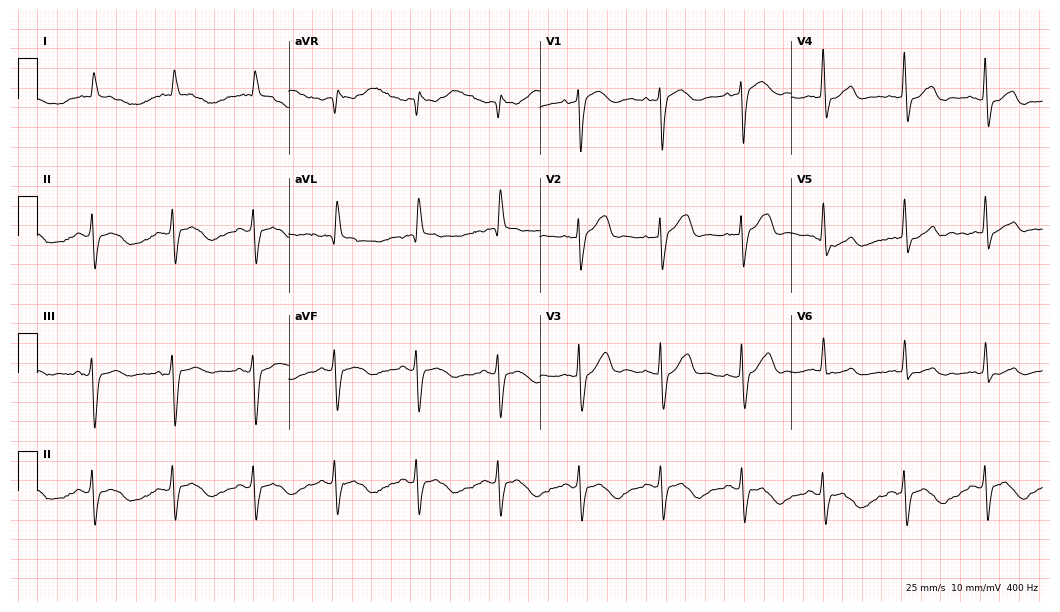
12-lead ECG from an 84-year-old woman (10.2-second recording at 400 Hz). No first-degree AV block, right bundle branch block, left bundle branch block, sinus bradycardia, atrial fibrillation or sinus tachycardia recorded for this tracing. Other findings, if any, are not listed.